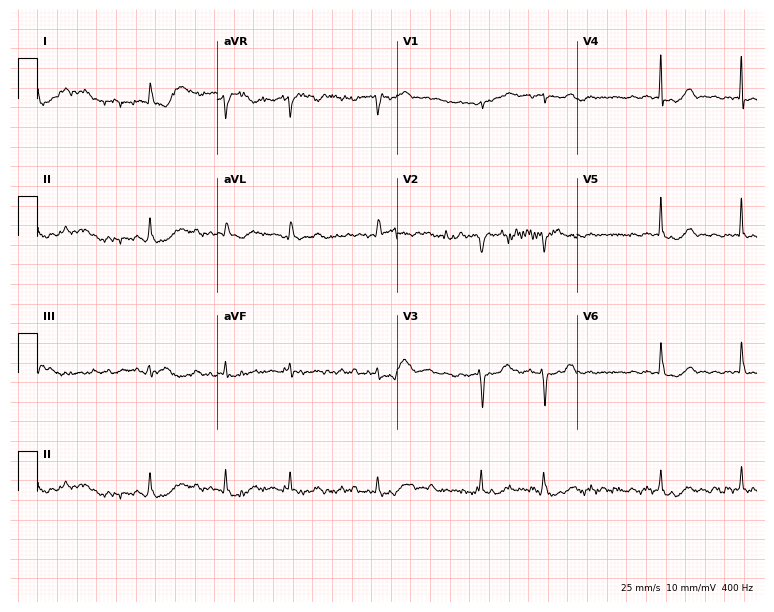
12-lead ECG from an 82-year-old female patient. Findings include atrial fibrillation (AF).